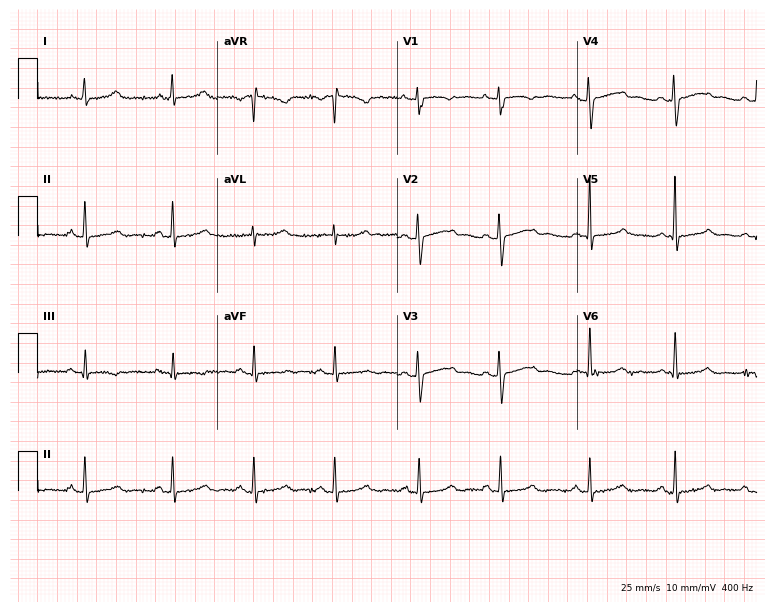
ECG (7.3-second recording at 400 Hz) — a 36-year-old female. Labelled as a normal ECG.